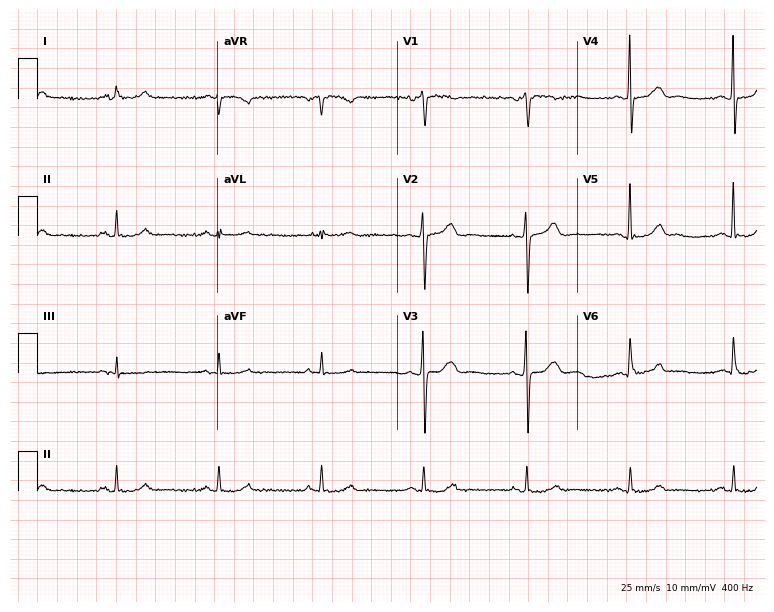
Electrocardiogram, a man, 70 years old. Overall reading on record: normal ECG.